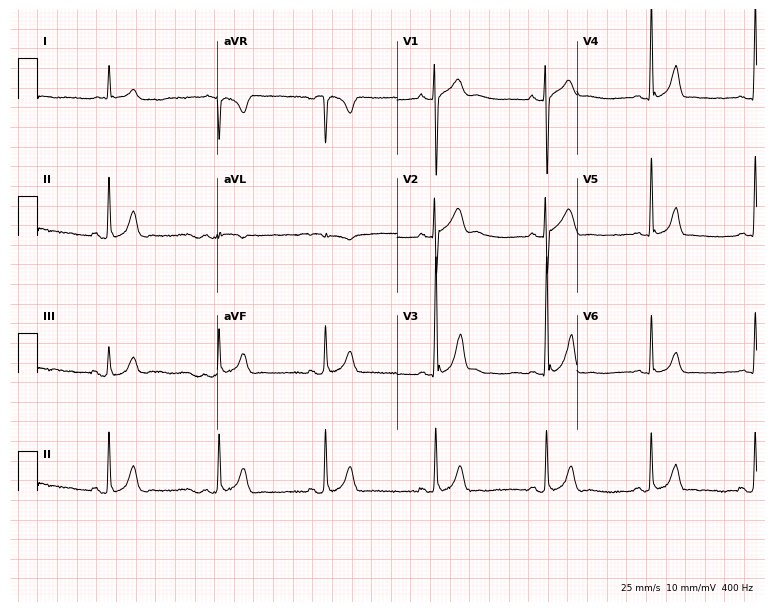
Standard 12-lead ECG recorded from a 20-year-old male. Read as a normal ECG.